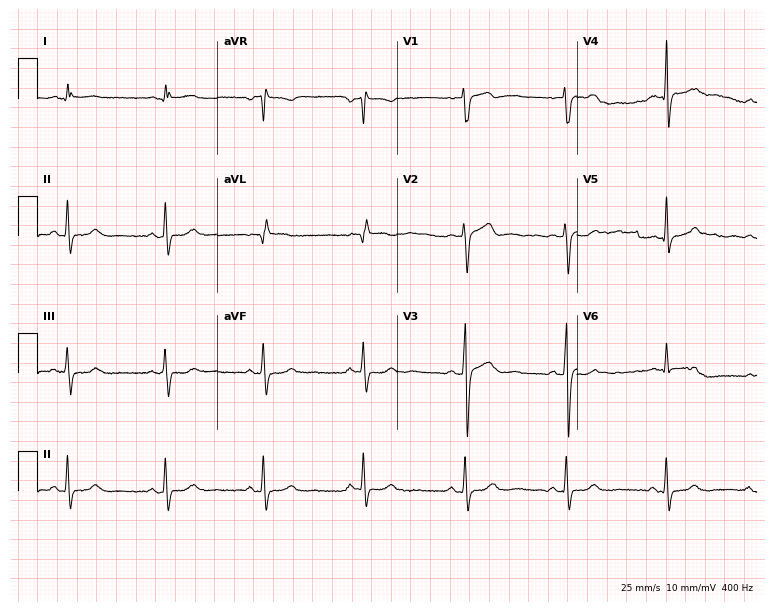
12-lead ECG (7.3-second recording at 400 Hz) from a 53-year-old male patient. Labelled as a normal ECG.